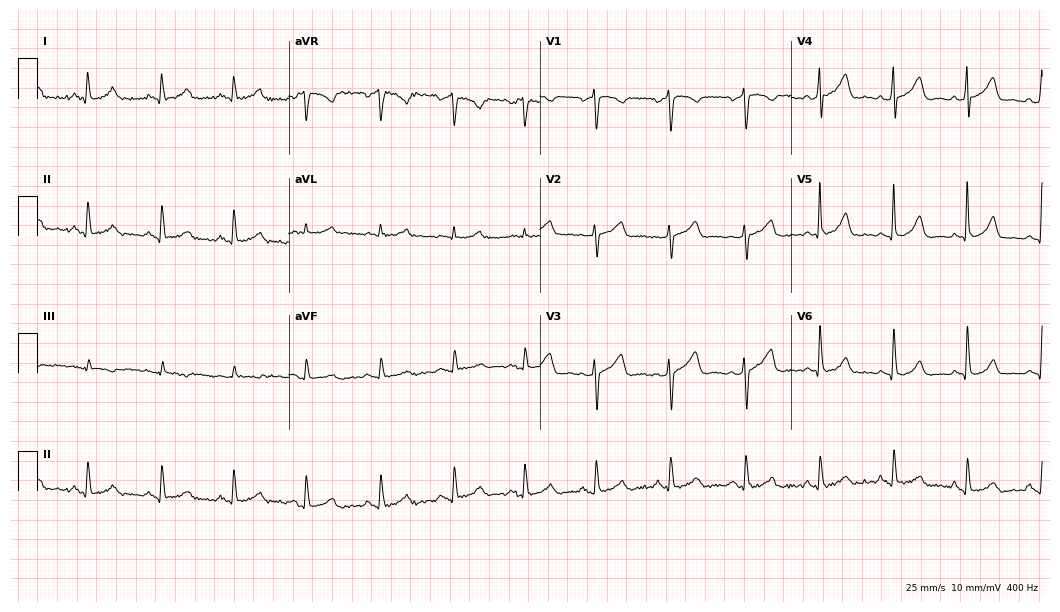
12-lead ECG (10.2-second recording at 400 Hz) from a 55-year-old female patient. Labelled as a normal ECG.